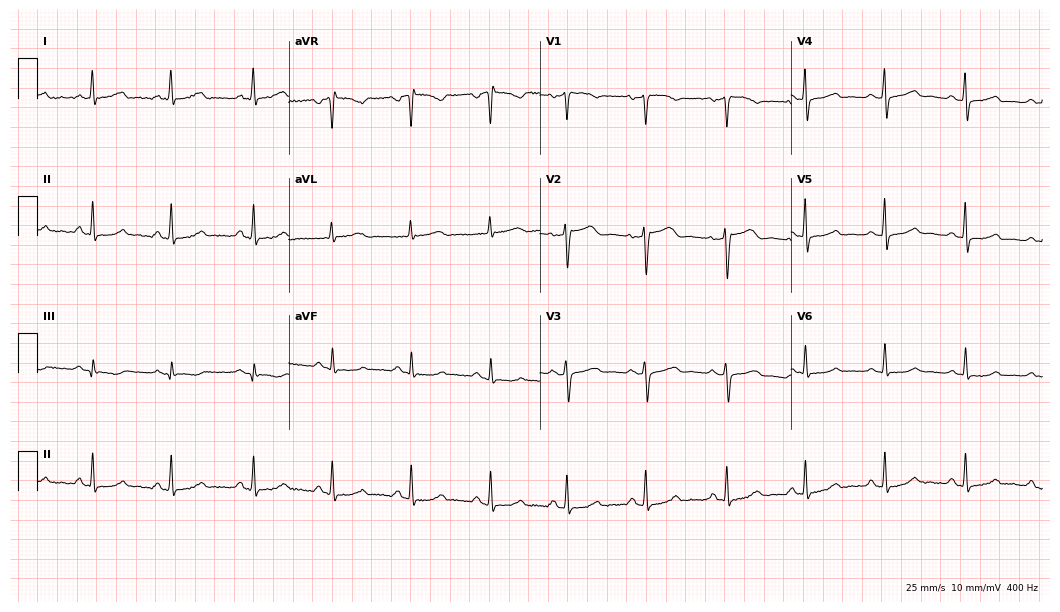
ECG — a female, 51 years old. Screened for six findings — first-degree AV block, right bundle branch block, left bundle branch block, sinus bradycardia, atrial fibrillation, sinus tachycardia — none is recorded.